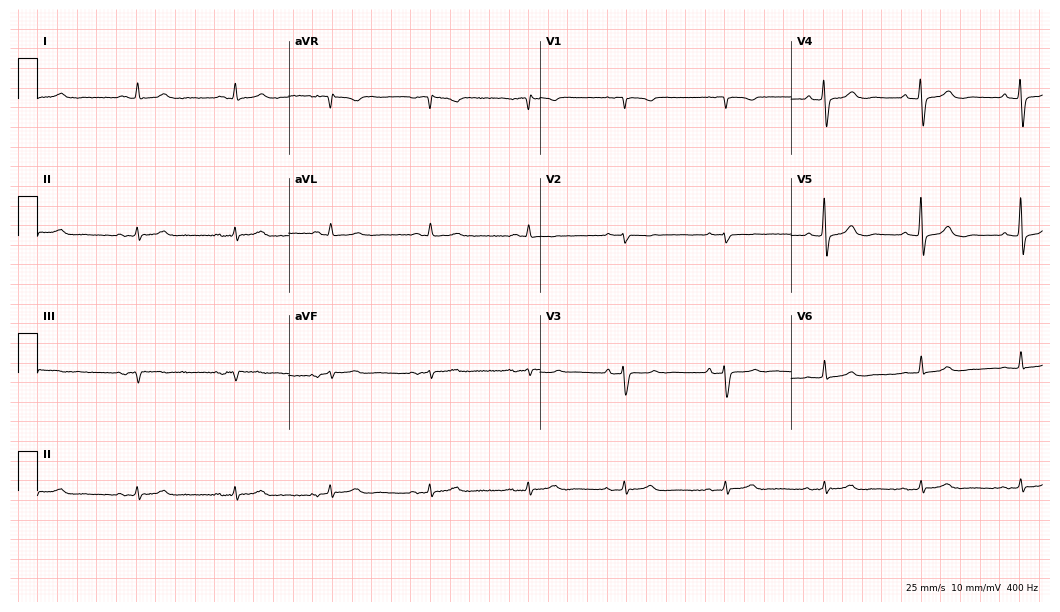
12-lead ECG from a female, 82 years old (10.2-second recording at 400 Hz). No first-degree AV block, right bundle branch block, left bundle branch block, sinus bradycardia, atrial fibrillation or sinus tachycardia recorded for this tracing. Findings outside these six are not listed.